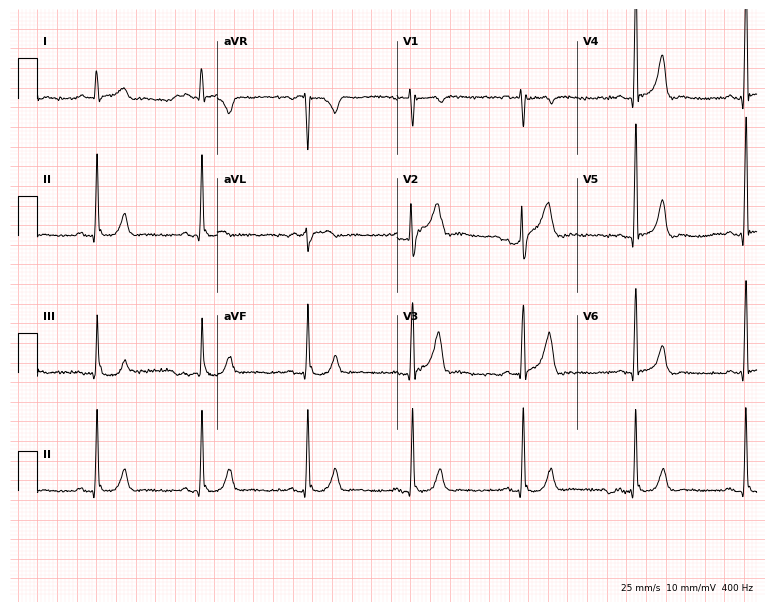
Standard 12-lead ECG recorded from a 49-year-old man (7.3-second recording at 400 Hz). Read as a normal ECG.